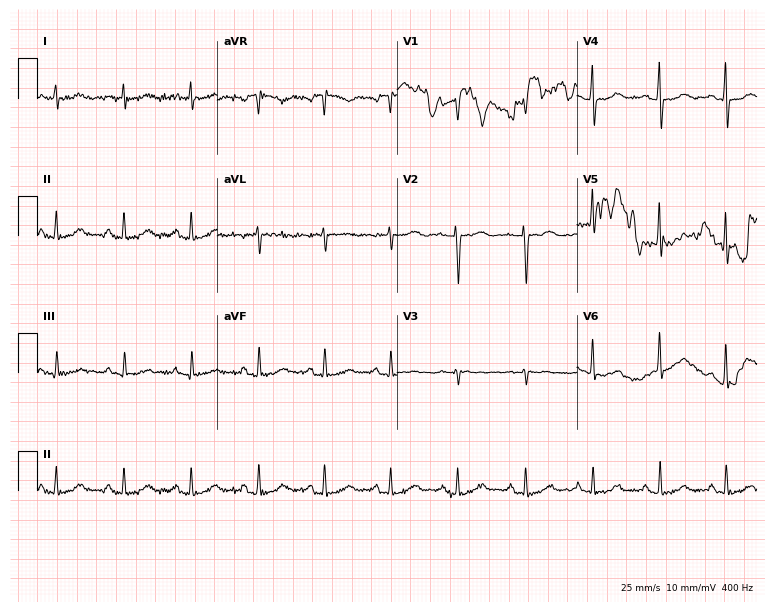
12-lead ECG from a female patient, 69 years old (7.3-second recording at 400 Hz). No first-degree AV block, right bundle branch block (RBBB), left bundle branch block (LBBB), sinus bradycardia, atrial fibrillation (AF) or sinus tachycardia recorded for this tracing. Only these six findings were labelled.